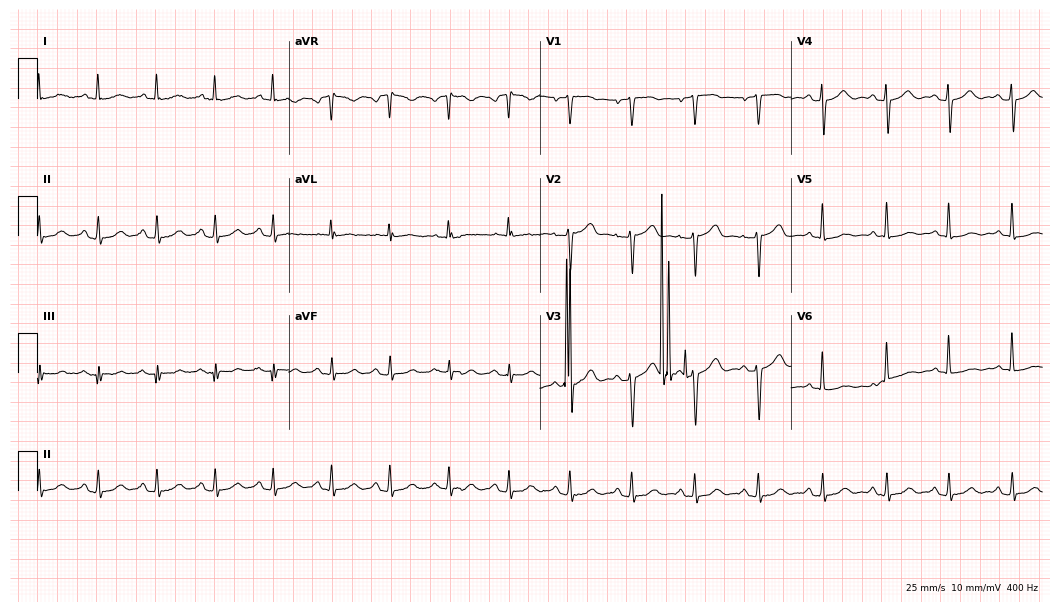
ECG (10.2-second recording at 400 Hz) — a 68-year-old female patient. Labelled as a normal ECG.